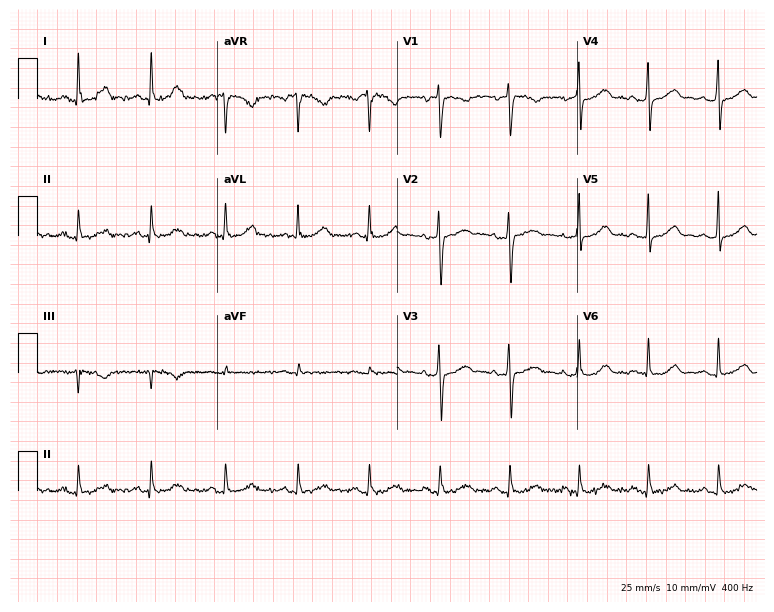
Electrocardiogram, a 45-year-old woman. Of the six screened findings (first-degree AV block, right bundle branch block, left bundle branch block, sinus bradycardia, atrial fibrillation, sinus tachycardia), none is recorded. Findings outside these six are not listed.